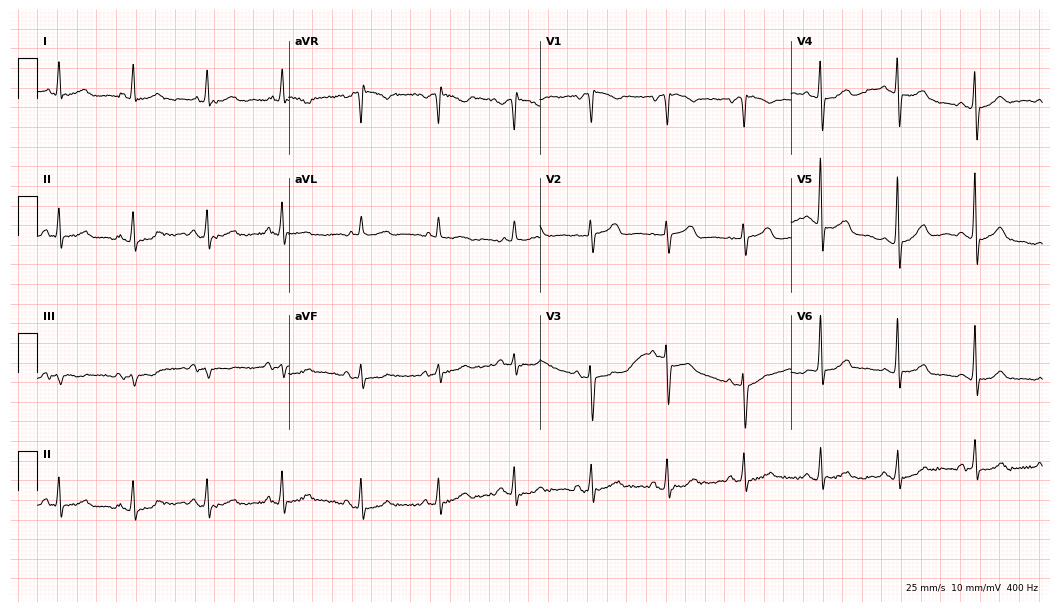
12-lead ECG (10.2-second recording at 400 Hz) from an 85-year-old female. Labelled as a normal ECG.